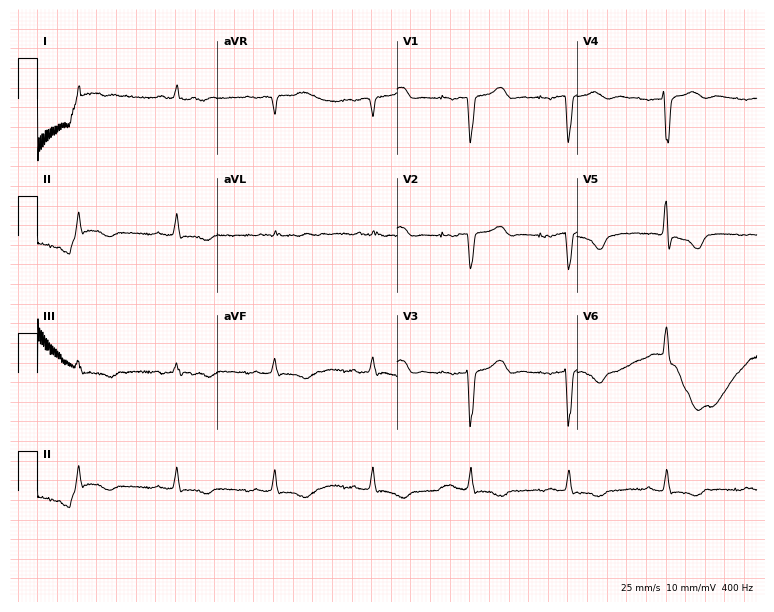
Electrocardiogram, a woman, 63 years old. Of the six screened findings (first-degree AV block, right bundle branch block, left bundle branch block, sinus bradycardia, atrial fibrillation, sinus tachycardia), none is recorded.